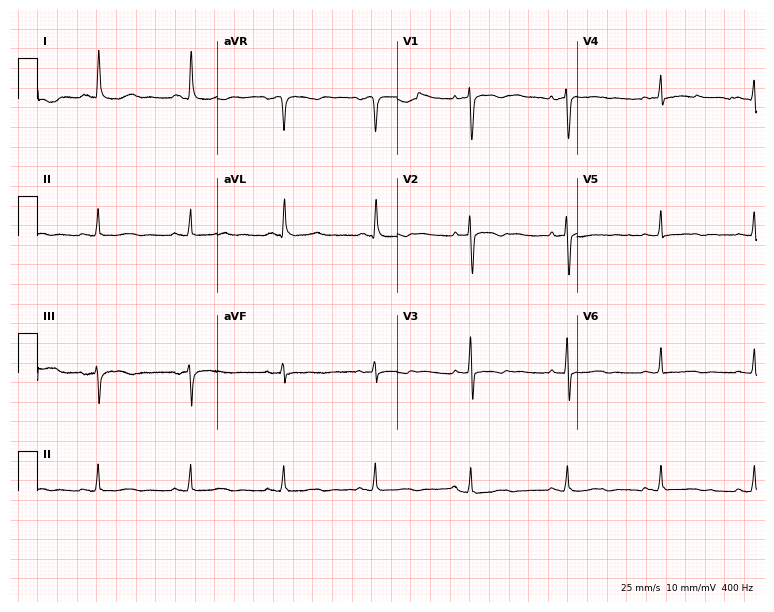
Electrocardiogram, a woman, 60 years old. Of the six screened findings (first-degree AV block, right bundle branch block, left bundle branch block, sinus bradycardia, atrial fibrillation, sinus tachycardia), none is recorded. Only these six findings were labelled.